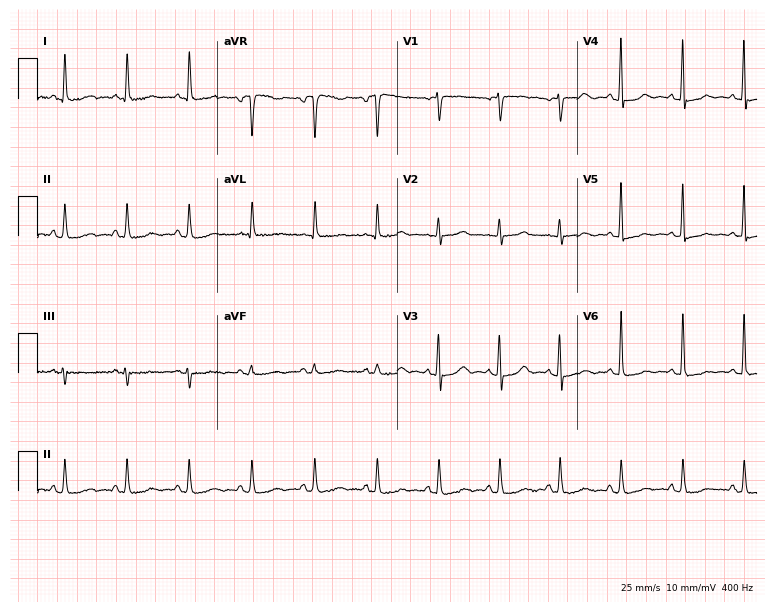
12-lead ECG (7.3-second recording at 400 Hz) from a woman, 63 years old. Labelled as a normal ECG.